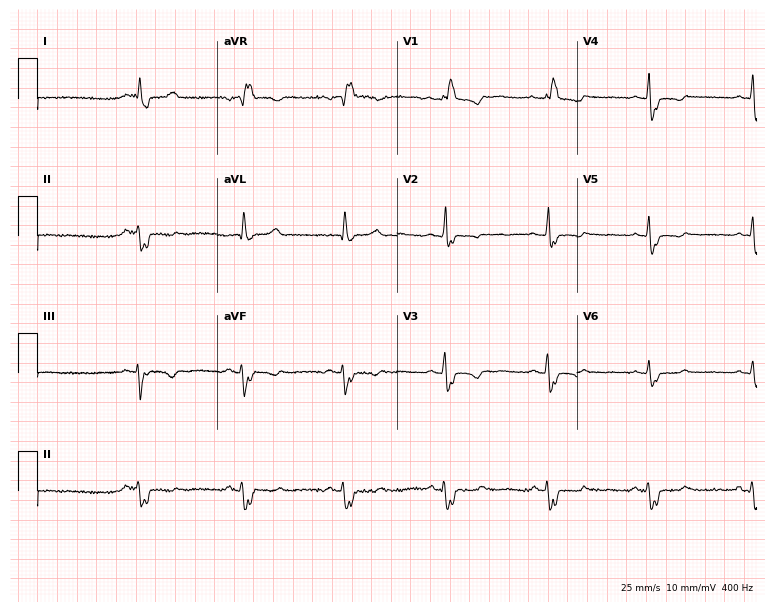
12-lead ECG (7.3-second recording at 400 Hz) from a 49-year-old female patient. Findings include right bundle branch block, left bundle branch block.